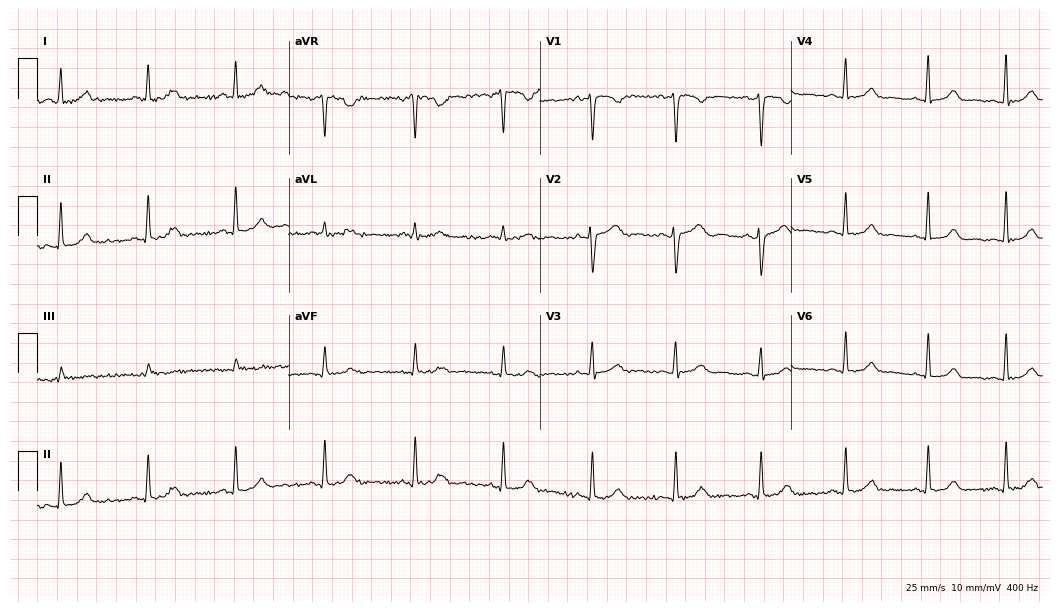
Standard 12-lead ECG recorded from a female, 43 years old. Read as a normal ECG.